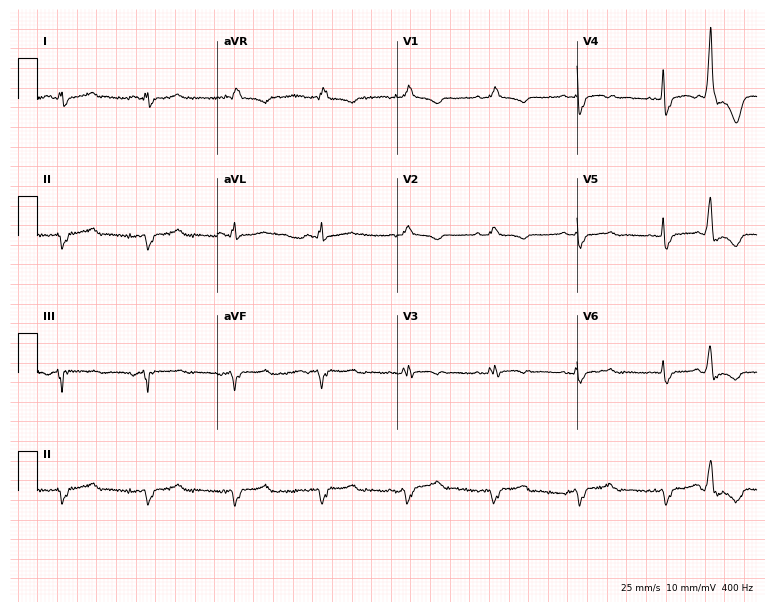
Electrocardiogram (7.3-second recording at 400 Hz), a woman, 52 years old. Interpretation includes right bundle branch block.